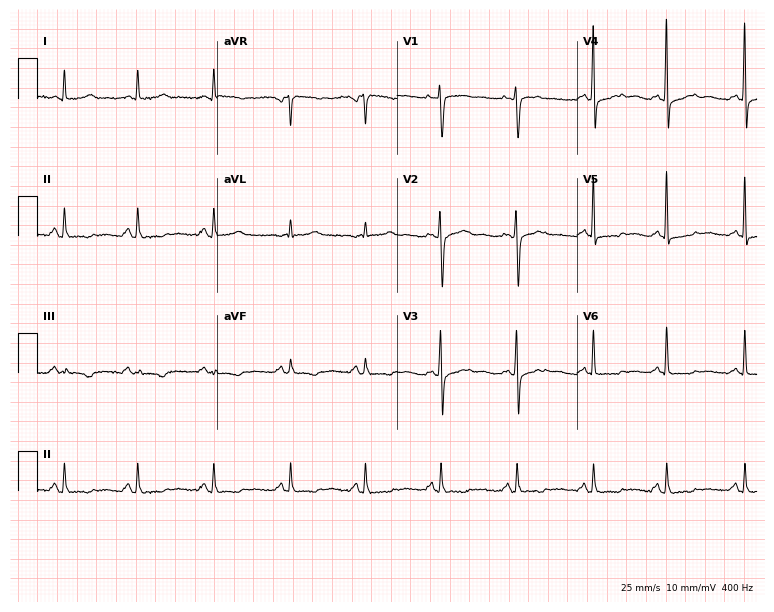
ECG — a woman, 67 years old. Screened for six findings — first-degree AV block, right bundle branch block (RBBB), left bundle branch block (LBBB), sinus bradycardia, atrial fibrillation (AF), sinus tachycardia — none is recorded. Only these six findings were labelled.